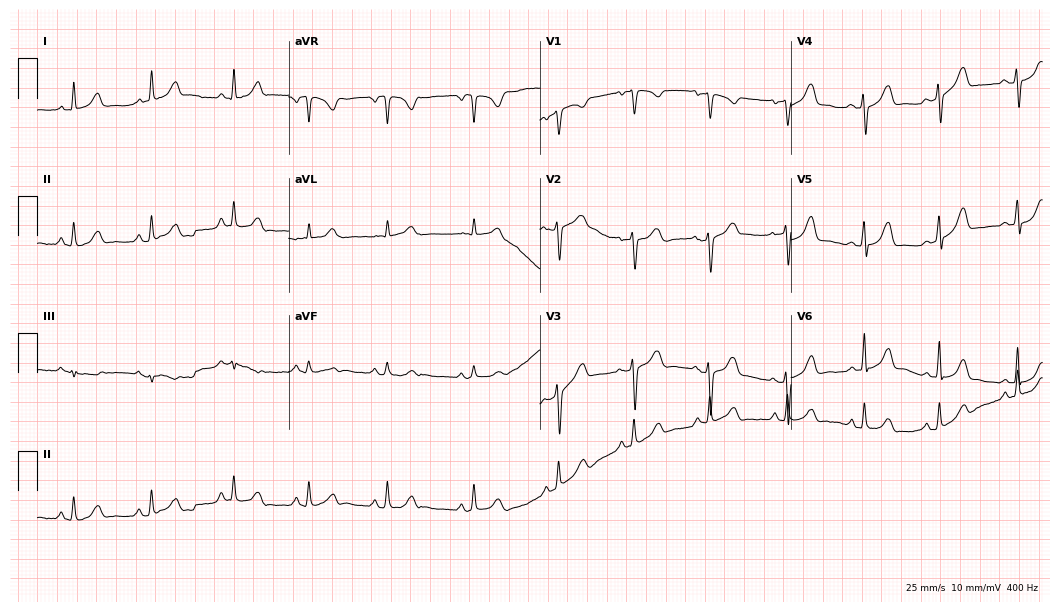
Standard 12-lead ECG recorded from a female, 28 years old (10.2-second recording at 400 Hz). None of these six findings is recorded: first-degree AV block, right bundle branch block (RBBB), left bundle branch block (LBBB), sinus bradycardia, atrial fibrillation (AF), sinus tachycardia. Other findings, if any, are not listed.